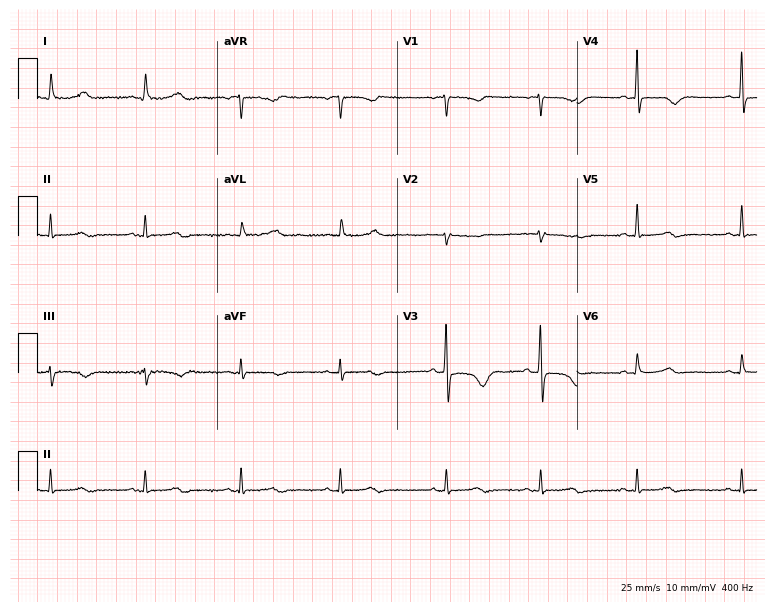
Resting 12-lead electrocardiogram. Patient: a 73-year-old female. None of these six findings is recorded: first-degree AV block, right bundle branch block, left bundle branch block, sinus bradycardia, atrial fibrillation, sinus tachycardia.